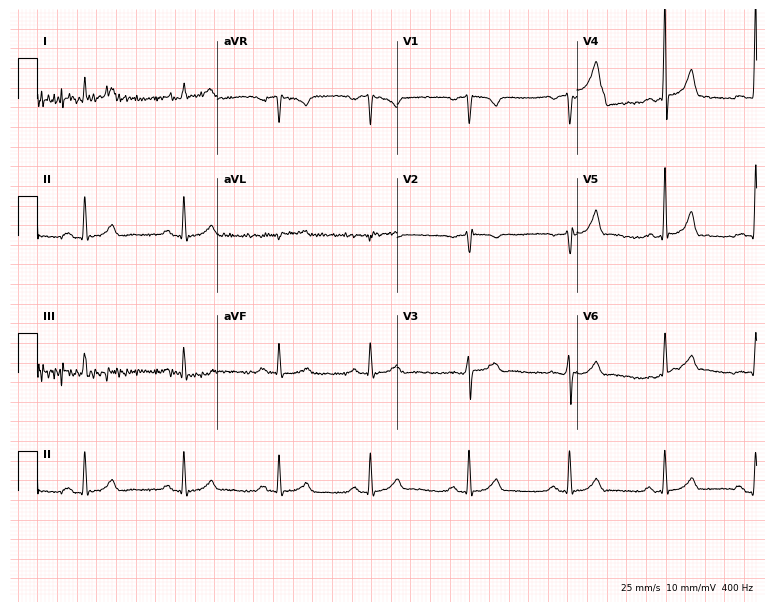
Electrocardiogram (7.3-second recording at 400 Hz), a 49-year-old man. Of the six screened findings (first-degree AV block, right bundle branch block (RBBB), left bundle branch block (LBBB), sinus bradycardia, atrial fibrillation (AF), sinus tachycardia), none is recorded. Findings outside these six are not listed.